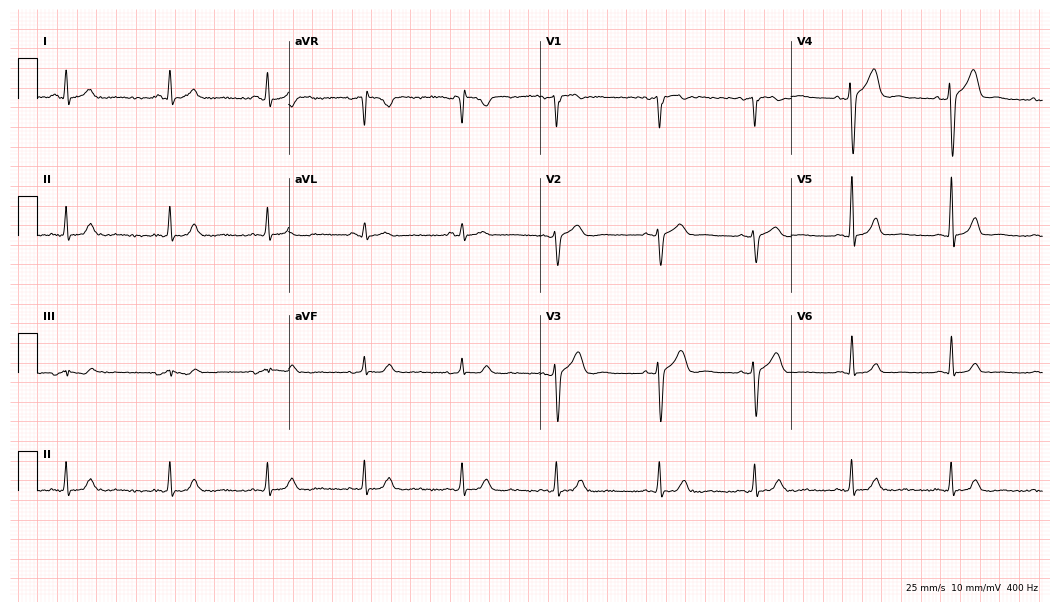
Resting 12-lead electrocardiogram. Patient: a man, 27 years old. Read as a normal ECG.